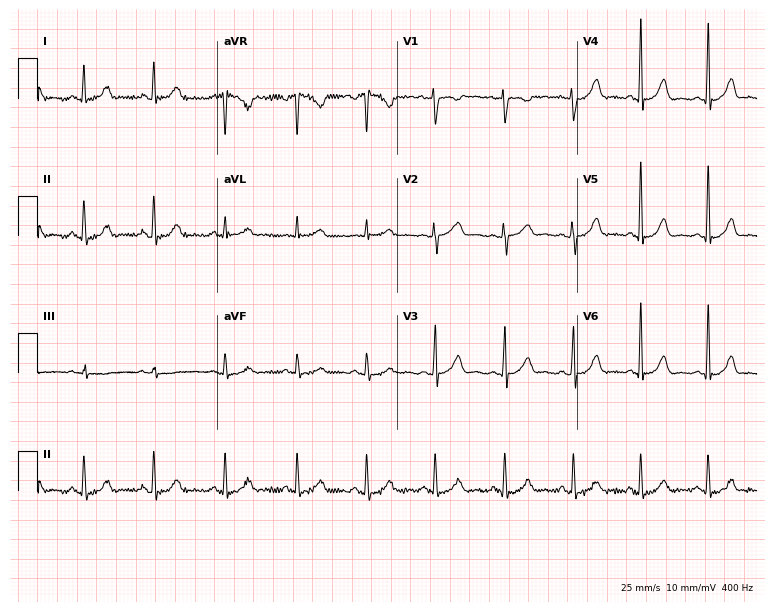
12-lead ECG from a female, 35 years old. Screened for six findings — first-degree AV block, right bundle branch block, left bundle branch block, sinus bradycardia, atrial fibrillation, sinus tachycardia — none is recorded.